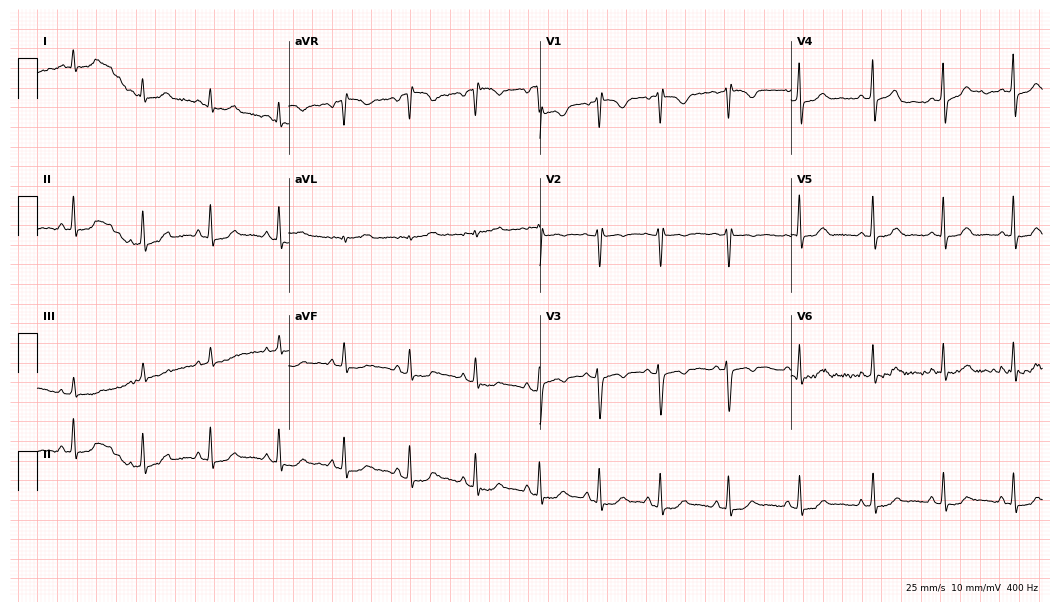
Standard 12-lead ECG recorded from a female, 31 years old. None of these six findings is recorded: first-degree AV block, right bundle branch block, left bundle branch block, sinus bradycardia, atrial fibrillation, sinus tachycardia.